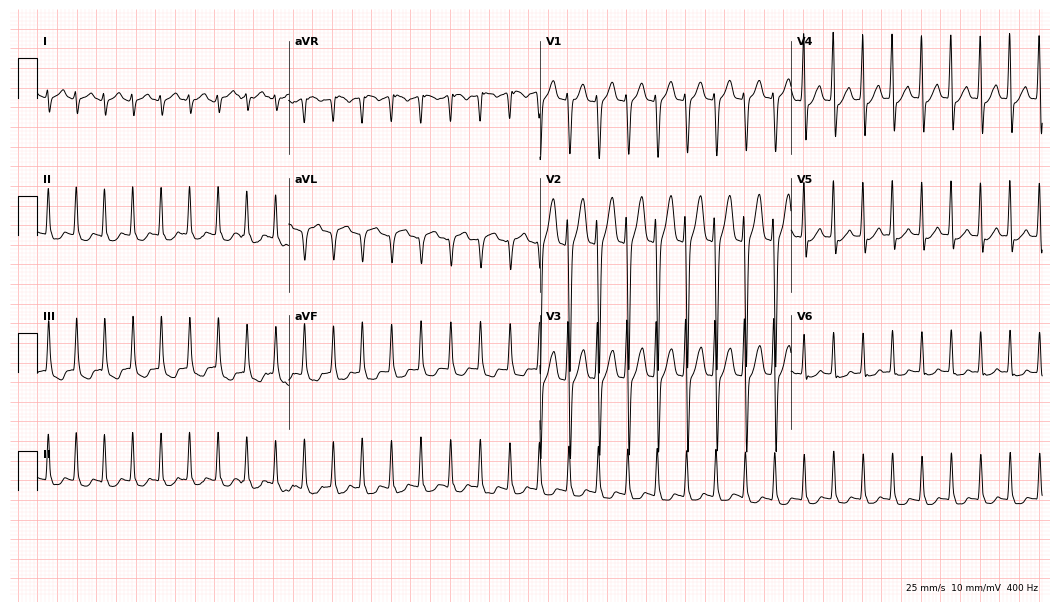
12-lead ECG from a woman, 22 years old. Screened for six findings — first-degree AV block, right bundle branch block, left bundle branch block, sinus bradycardia, atrial fibrillation, sinus tachycardia — none is recorded. Only these six findings were labelled.